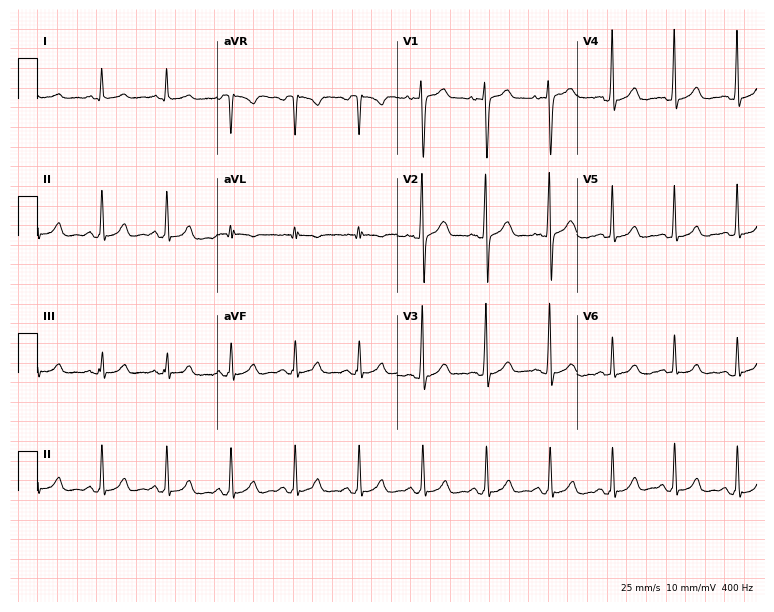
Electrocardiogram, a 30-year-old man. Overall reading on record: normal ECG.